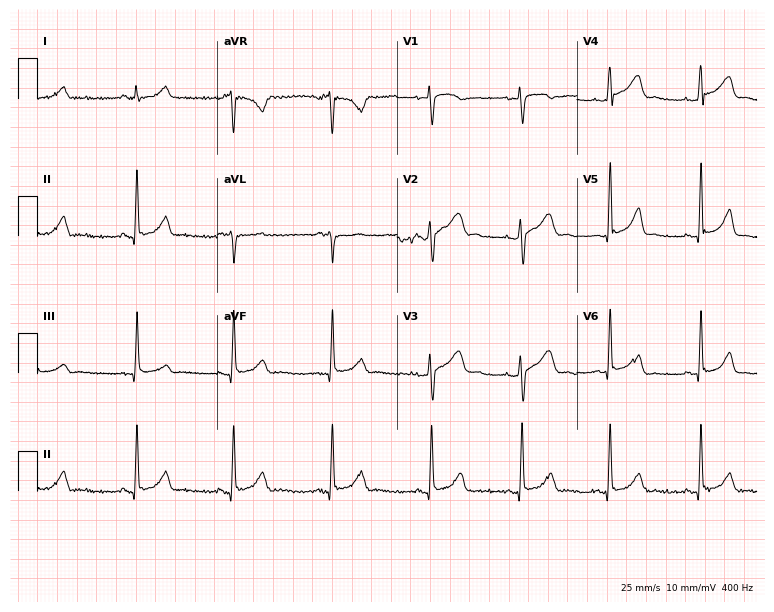
ECG (7.3-second recording at 400 Hz) — a female patient, 22 years old. Labelled as a normal ECG.